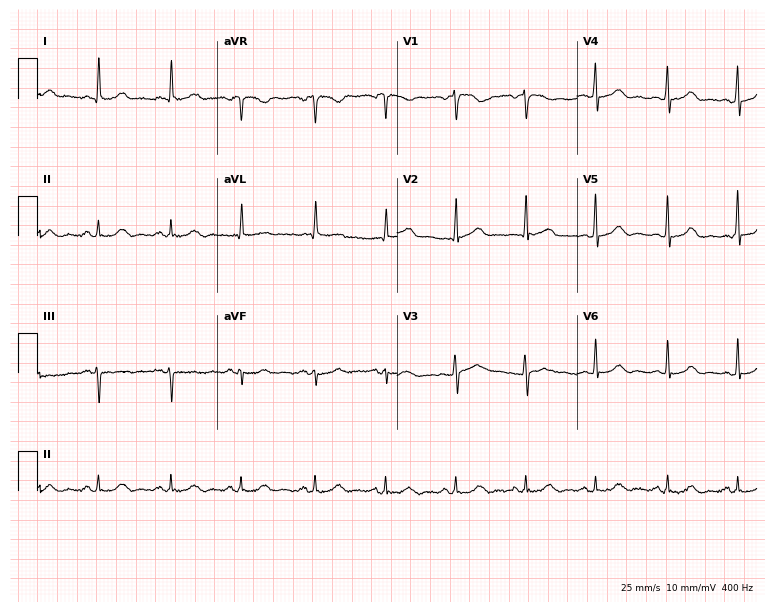
12-lead ECG from a woman, 62 years old (7.3-second recording at 400 Hz). Recorded interpretation: within normal limits.